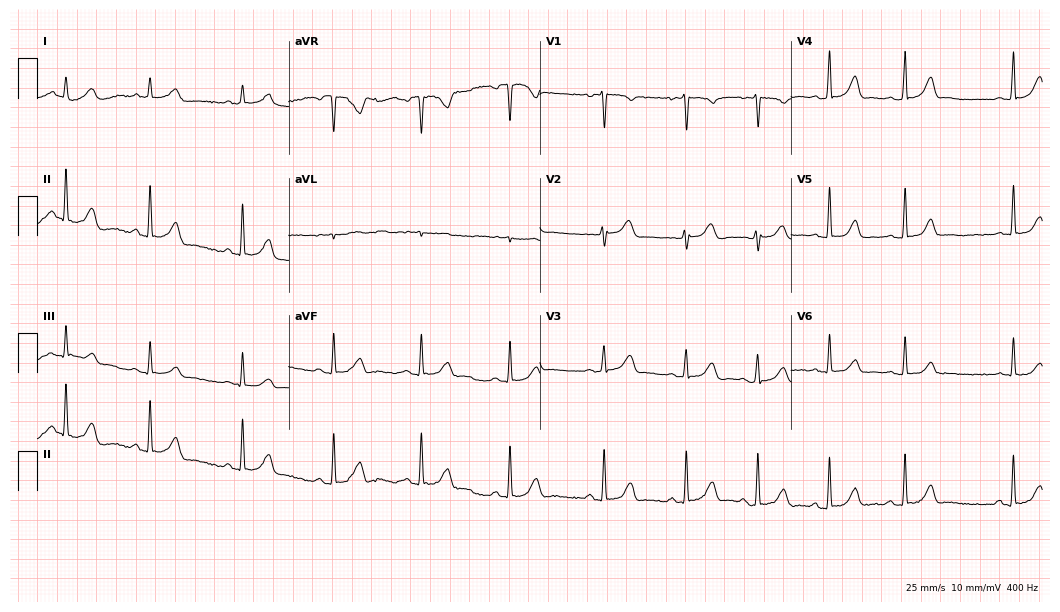
Resting 12-lead electrocardiogram. Patient: a 33-year-old female. Read as a normal ECG.